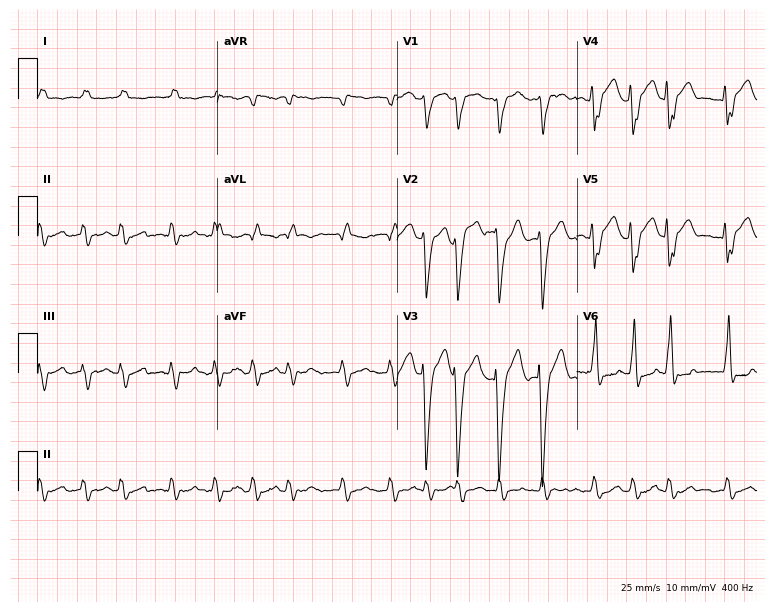
ECG — an 83-year-old male. Findings include left bundle branch block, atrial fibrillation.